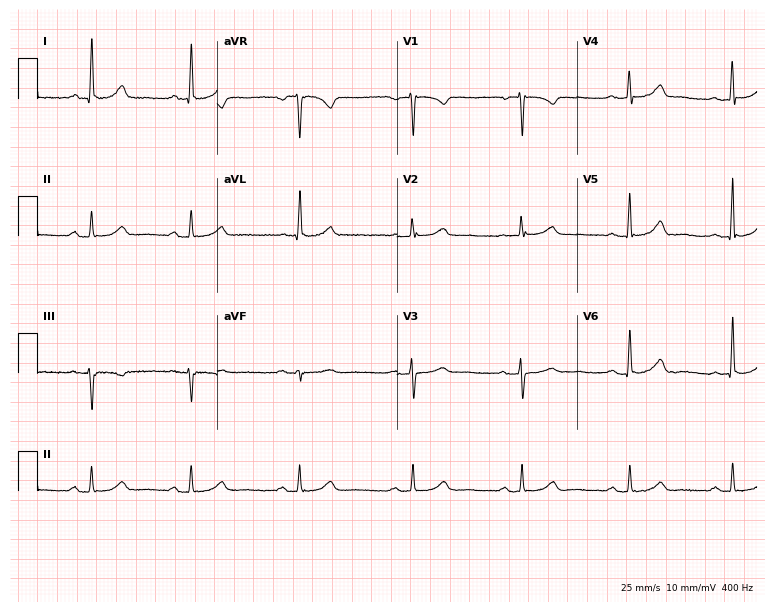
Standard 12-lead ECG recorded from a 61-year-old woman (7.3-second recording at 400 Hz). Read as a normal ECG.